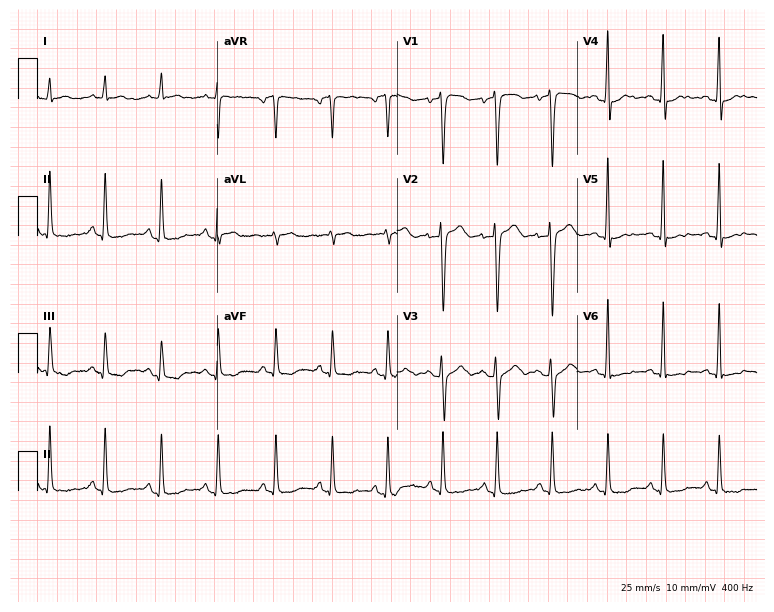
12-lead ECG (7.3-second recording at 400 Hz) from a 62-year-old female patient. Findings include sinus tachycardia (a sinus rate of 100 beats per minute or more).